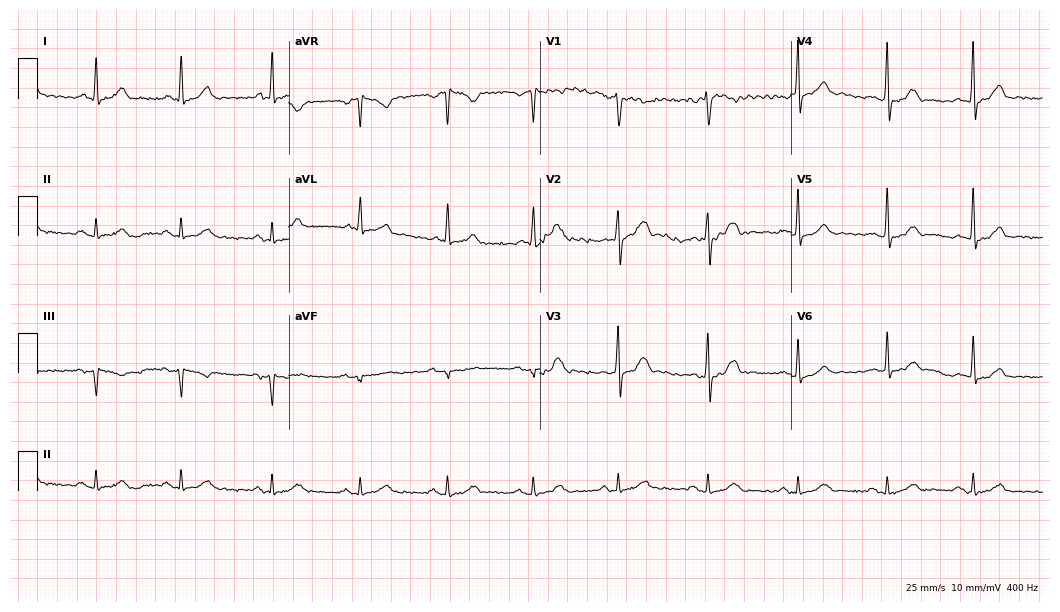
Resting 12-lead electrocardiogram. Patient: a 49-year-old female. Read as a normal ECG.